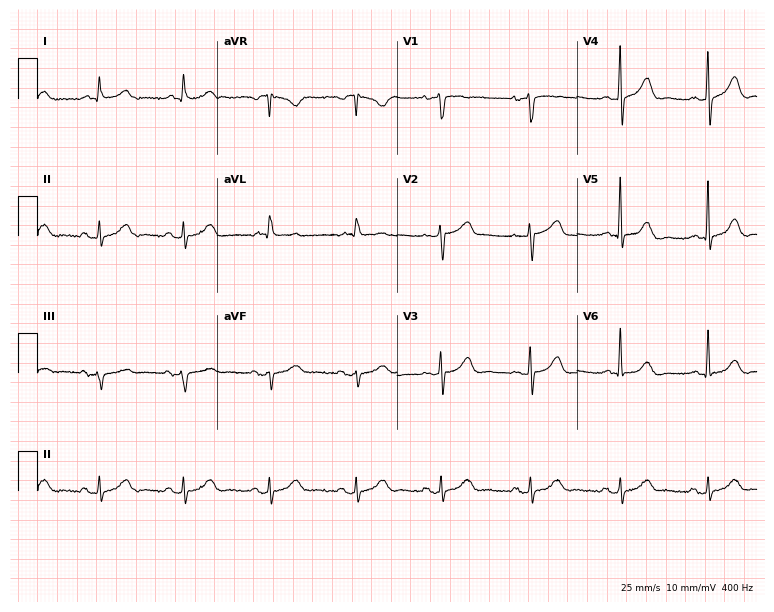
ECG (7.3-second recording at 400 Hz) — a 71-year-old male. Screened for six findings — first-degree AV block, right bundle branch block, left bundle branch block, sinus bradycardia, atrial fibrillation, sinus tachycardia — none is recorded.